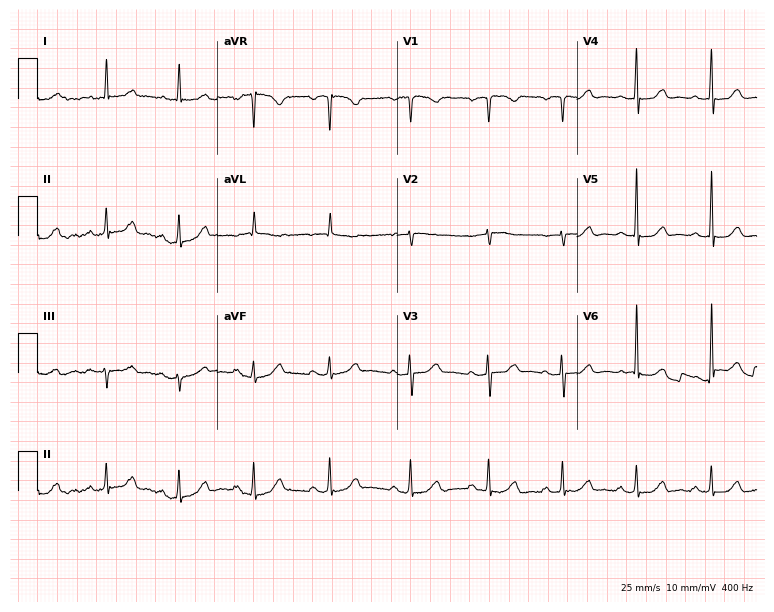
ECG (7.3-second recording at 400 Hz) — a 71-year-old female patient. Labelled as a normal ECG.